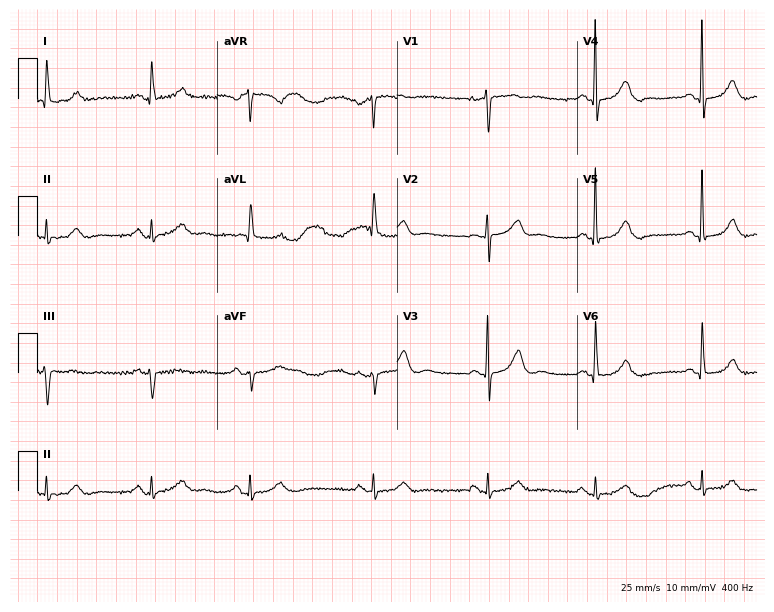
ECG (7.3-second recording at 400 Hz) — a woman, 80 years old. Screened for six findings — first-degree AV block, right bundle branch block (RBBB), left bundle branch block (LBBB), sinus bradycardia, atrial fibrillation (AF), sinus tachycardia — none is recorded.